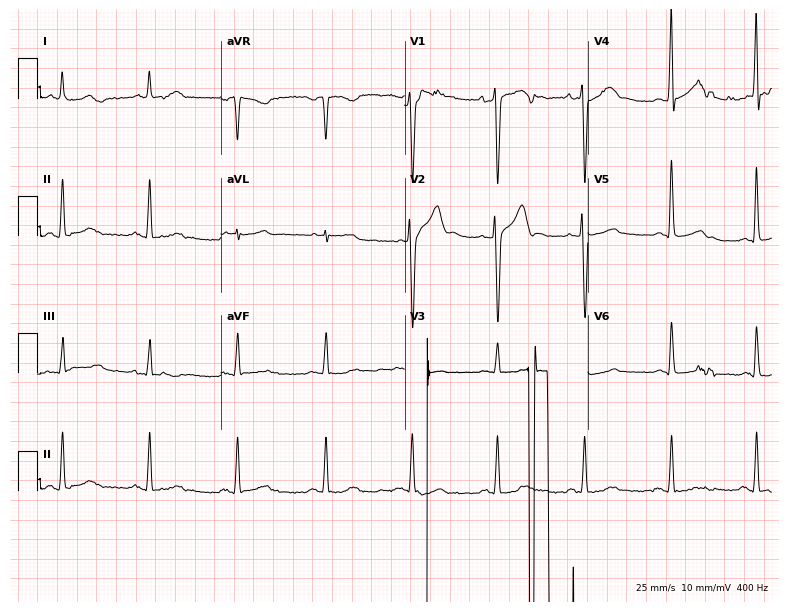
Standard 12-lead ECG recorded from a 42-year-old male. None of these six findings is recorded: first-degree AV block, right bundle branch block (RBBB), left bundle branch block (LBBB), sinus bradycardia, atrial fibrillation (AF), sinus tachycardia. Only these six findings were labelled.